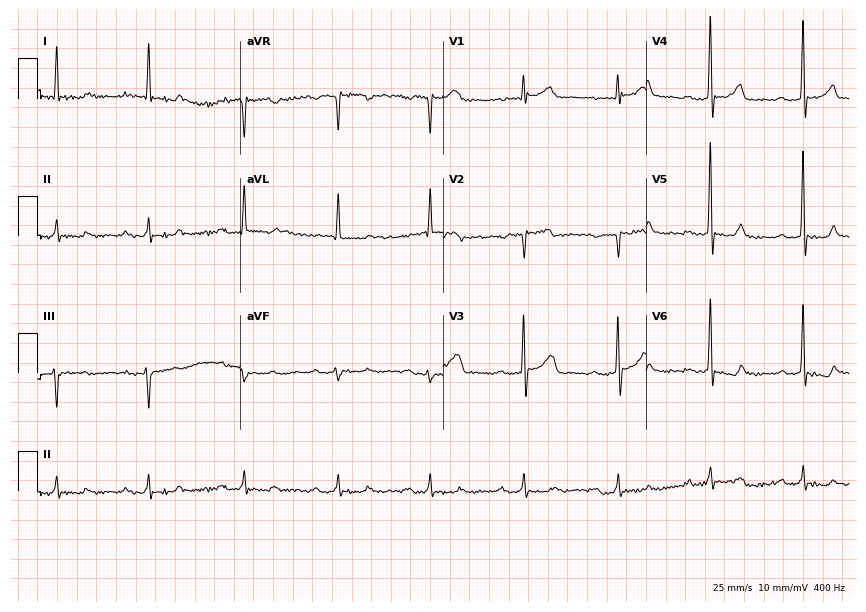
Standard 12-lead ECG recorded from a male, 66 years old. The tracing shows first-degree AV block.